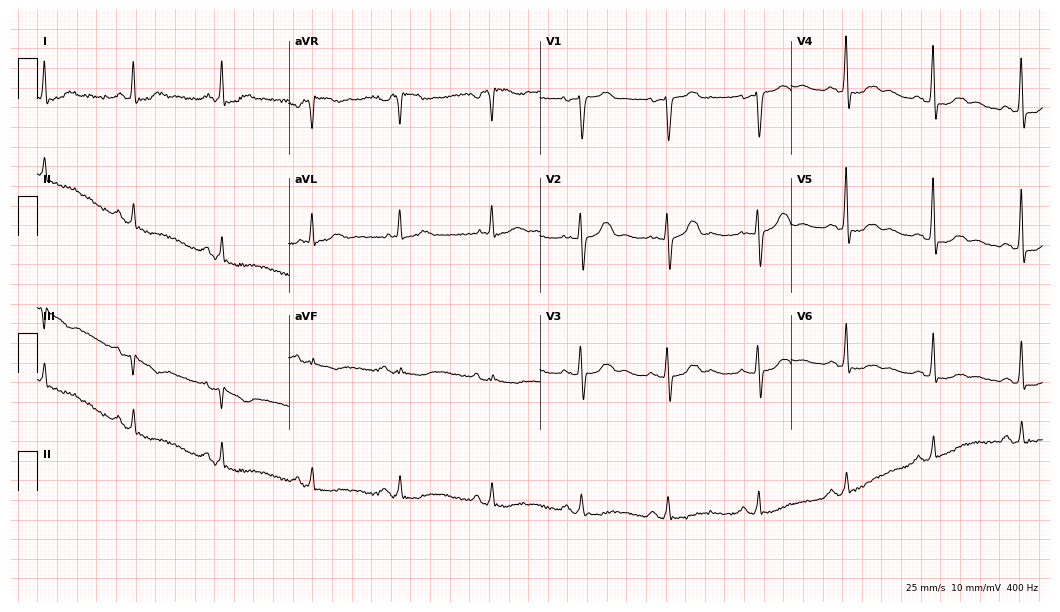
12-lead ECG from a 68-year-old woman. No first-degree AV block, right bundle branch block, left bundle branch block, sinus bradycardia, atrial fibrillation or sinus tachycardia recorded for this tracing.